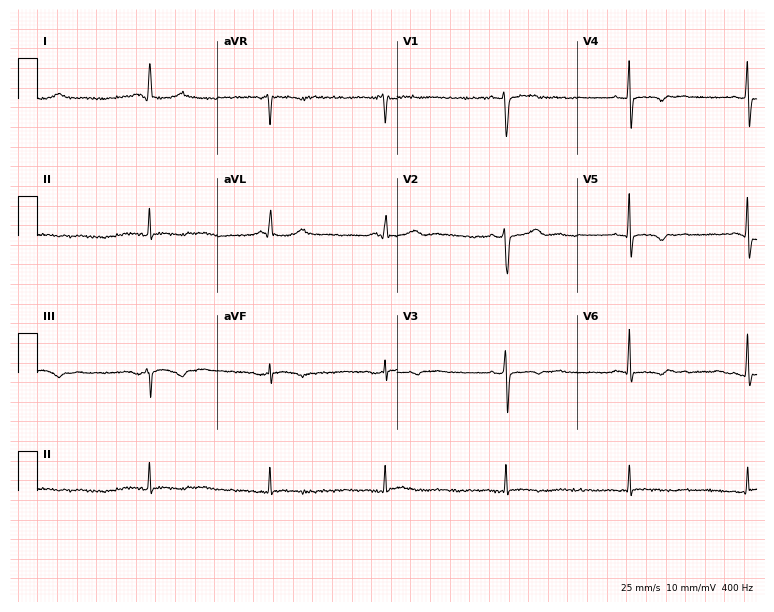
Standard 12-lead ECG recorded from a woman, 39 years old. None of these six findings is recorded: first-degree AV block, right bundle branch block, left bundle branch block, sinus bradycardia, atrial fibrillation, sinus tachycardia. Only these six findings were labelled.